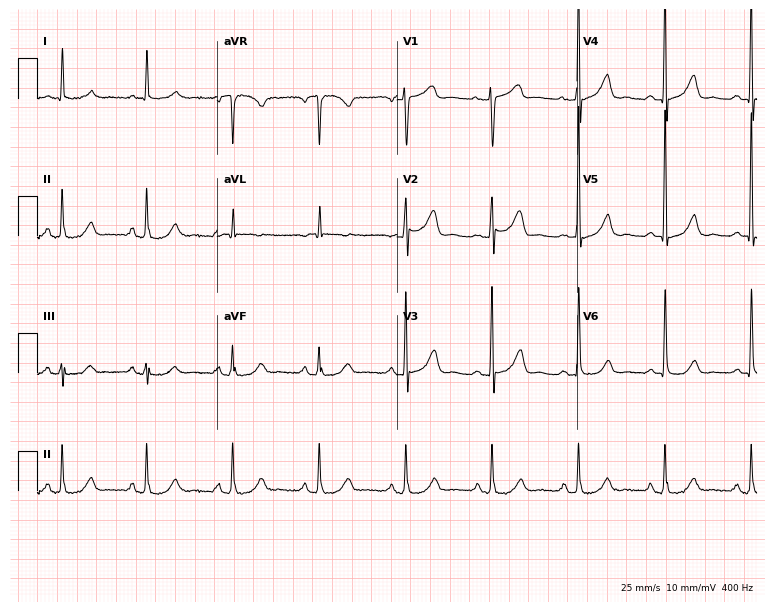
12-lead ECG from a 77-year-old female patient. No first-degree AV block, right bundle branch block (RBBB), left bundle branch block (LBBB), sinus bradycardia, atrial fibrillation (AF) or sinus tachycardia recorded for this tracing. Other findings, if any, are not listed.